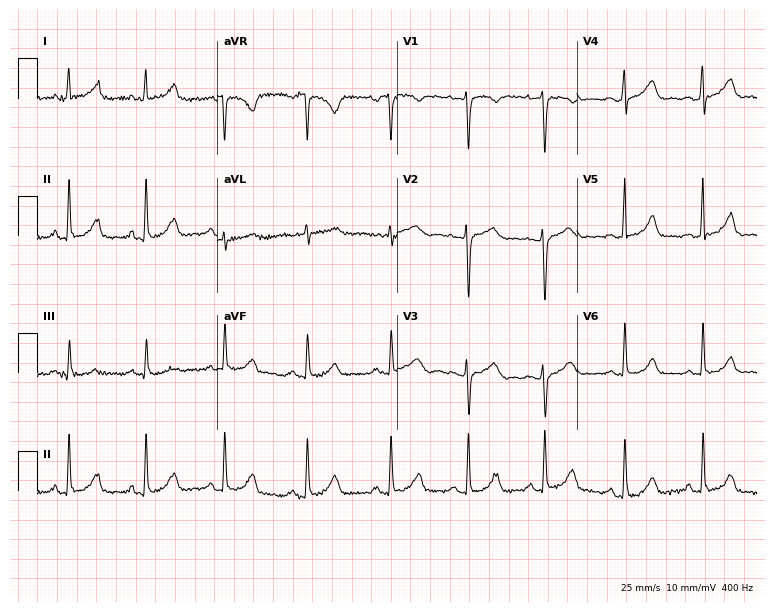
Resting 12-lead electrocardiogram (7.3-second recording at 400 Hz). Patient: a woman, 30 years old. Read as a normal ECG.